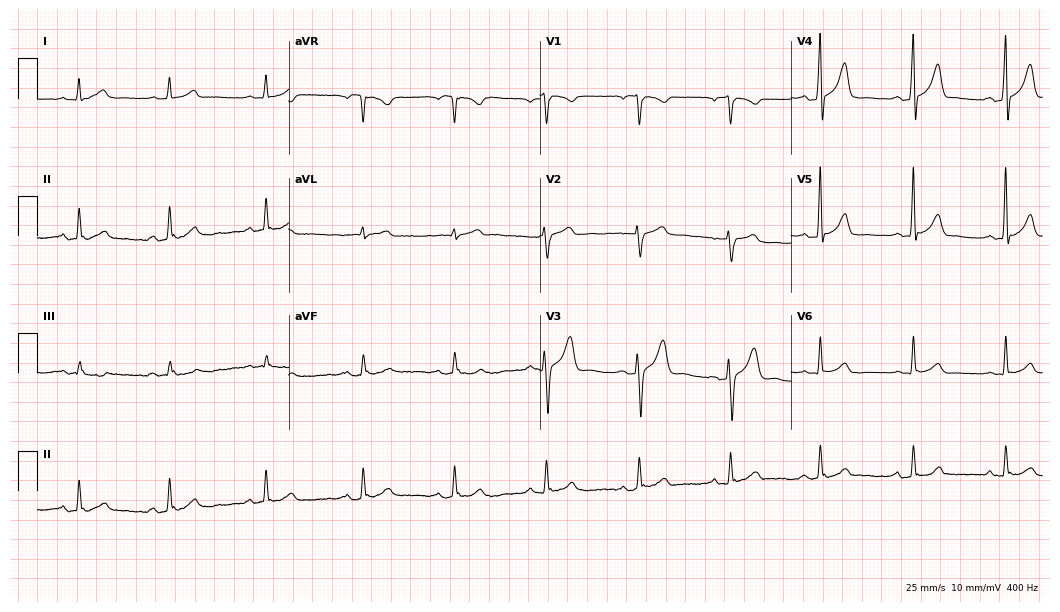
Standard 12-lead ECG recorded from a 37-year-old male. None of these six findings is recorded: first-degree AV block, right bundle branch block, left bundle branch block, sinus bradycardia, atrial fibrillation, sinus tachycardia.